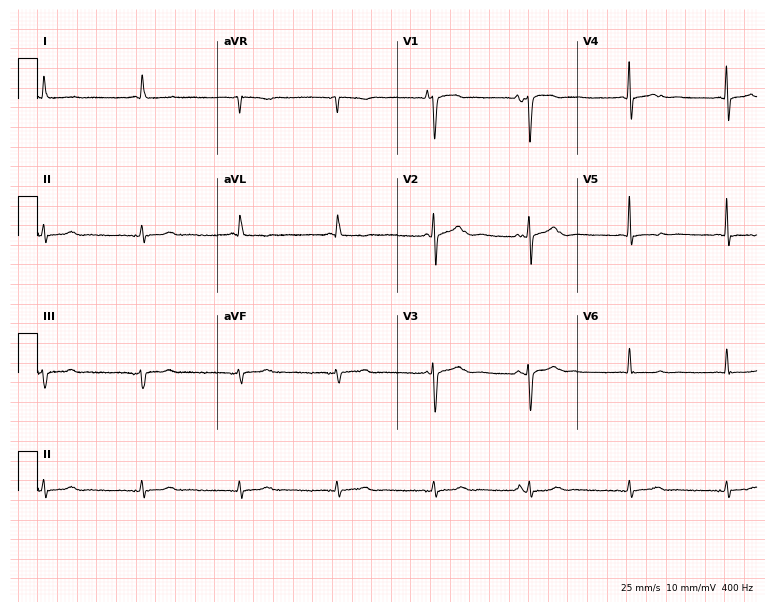
Electrocardiogram (7.3-second recording at 400 Hz), a male patient, 83 years old. Of the six screened findings (first-degree AV block, right bundle branch block, left bundle branch block, sinus bradycardia, atrial fibrillation, sinus tachycardia), none is recorded. Other findings, if any, are not listed.